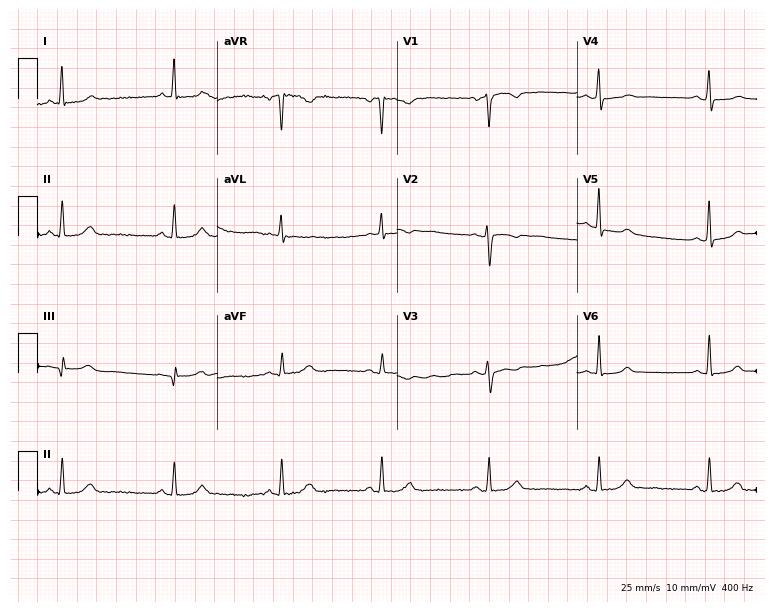
12-lead ECG (7.3-second recording at 400 Hz) from a female, 41 years old. Screened for six findings — first-degree AV block, right bundle branch block, left bundle branch block, sinus bradycardia, atrial fibrillation, sinus tachycardia — none is recorded. Findings outside these six are not listed.